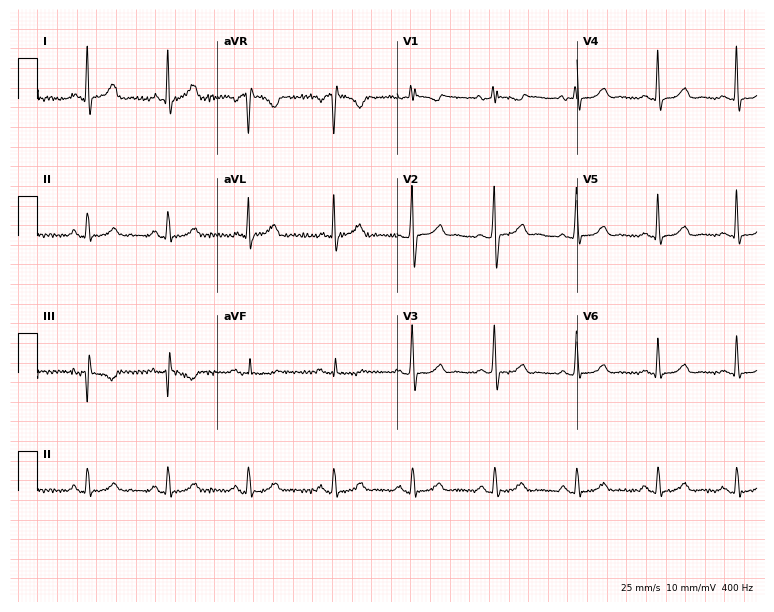
12-lead ECG from a 64-year-old female (7.3-second recording at 400 Hz). No first-degree AV block, right bundle branch block, left bundle branch block, sinus bradycardia, atrial fibrillation or sinus tachycardia recorded for this tracing.